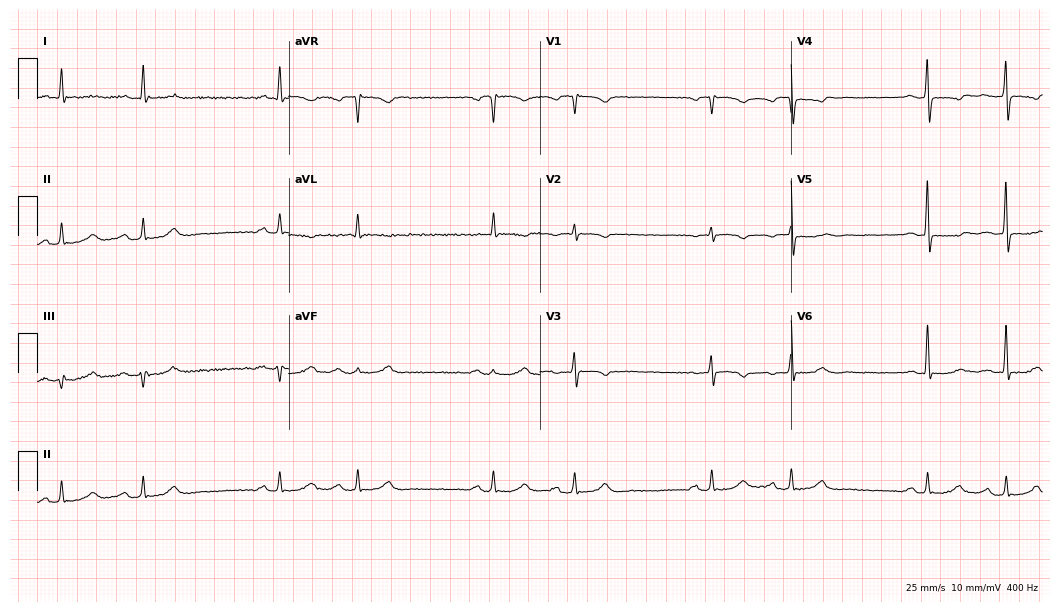
12-lead ECG from a female, 56 years old (10.2-second recording at 400 Hz). No first-degree AV block, right bundle branch block, left bundle branch block, sinus bradycardia, atrial fibrillation or sinus tachycardia recorded for this tracing. Findings outside these six are not listed.